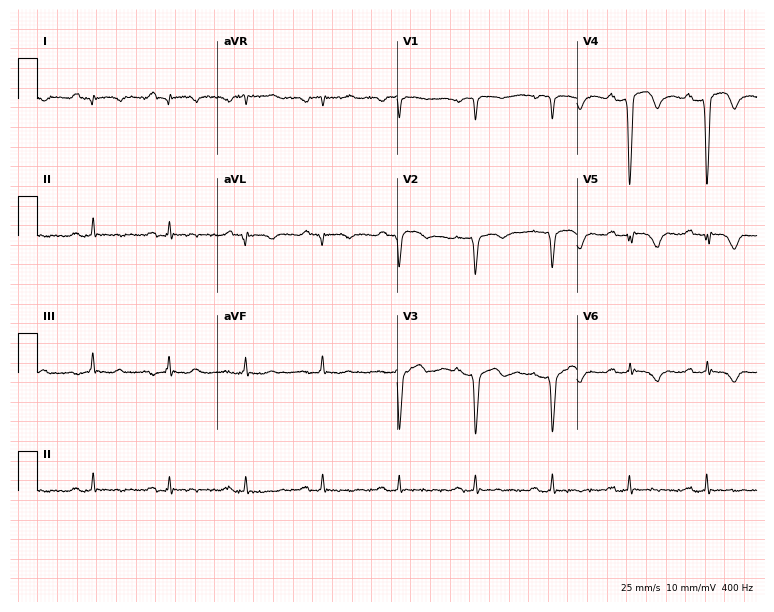
12-lead ECG from a 58-year-old man. No first-degree AV block, right bundle branch block (RBBB), left bundle branch block (LBBB), sinus bradycardia, atrial fibrillation (AF) or sinus tachycardia recorded for this tracing.